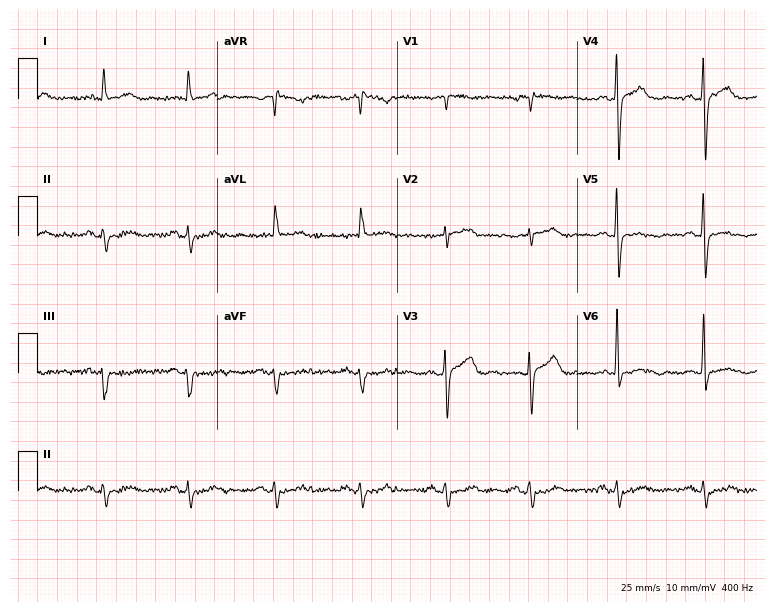
Resting 12-lead electrocardiogram. Patient: a man, 85 years old. None of these six findings is recorded: first-degree AV block, right bundle branch block, left bundle branch block, sinus bradycardia, atrial fibrillation, sinus tachycardia.